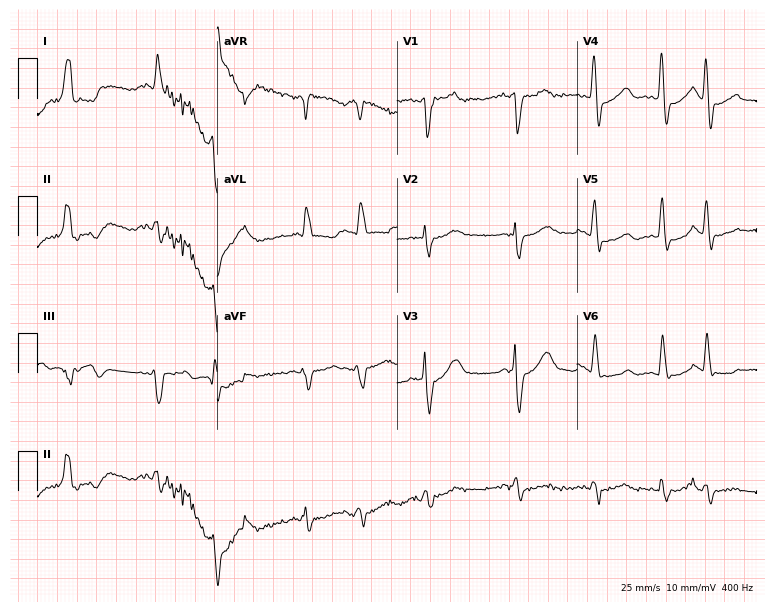
12-lead ECG (7.3-second recording at 400 Hz) from a man, 79 years old. Screened for six findings — first-degree AV block, right bundle branch block, left bundle branch block, sinus bradycardia, atrial fibrillation, sinus tachycardia — none is recorded.